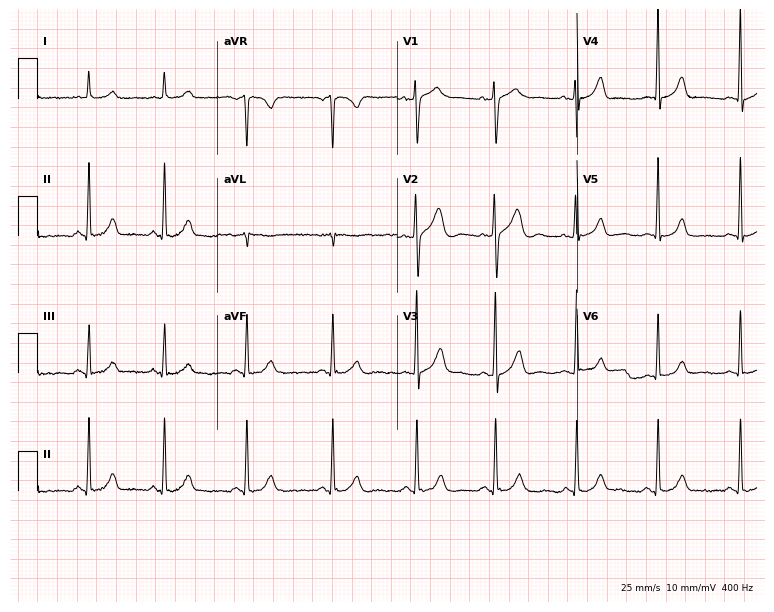
ECG — a 35-year-old woman. Labelled as a normal ECG.